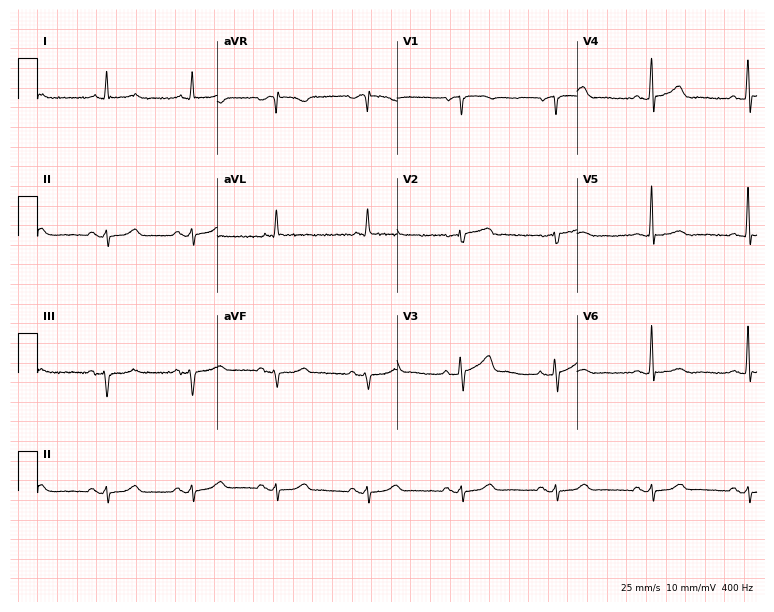
Standard 12-lead ECG recorded from a 73-year-old man. None of these six findings is recorded: first-degree AV block, right bundle branch block (RBBB), left bundle branch block (LBBB), sinus bradycardia, atrial fibrillation (AF), sinus tachycardia.